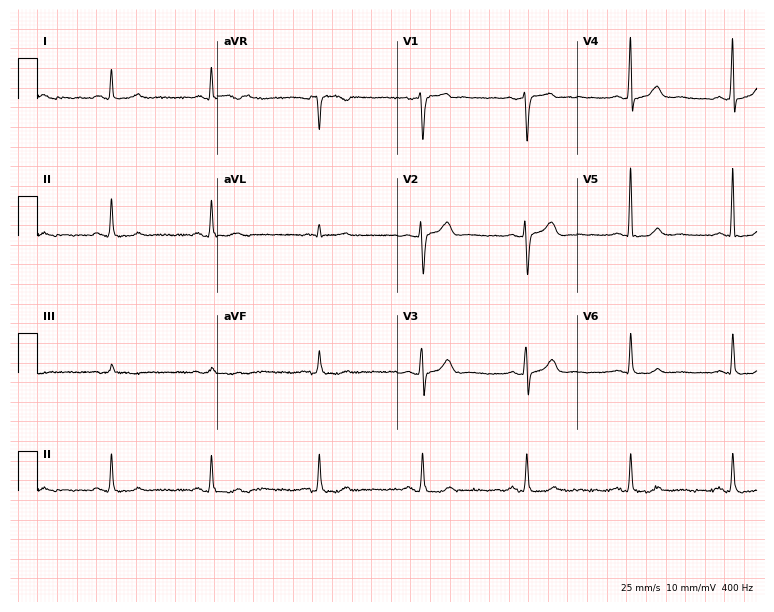
ECG — a 61-year-old man. Labelled as a normal ECG.